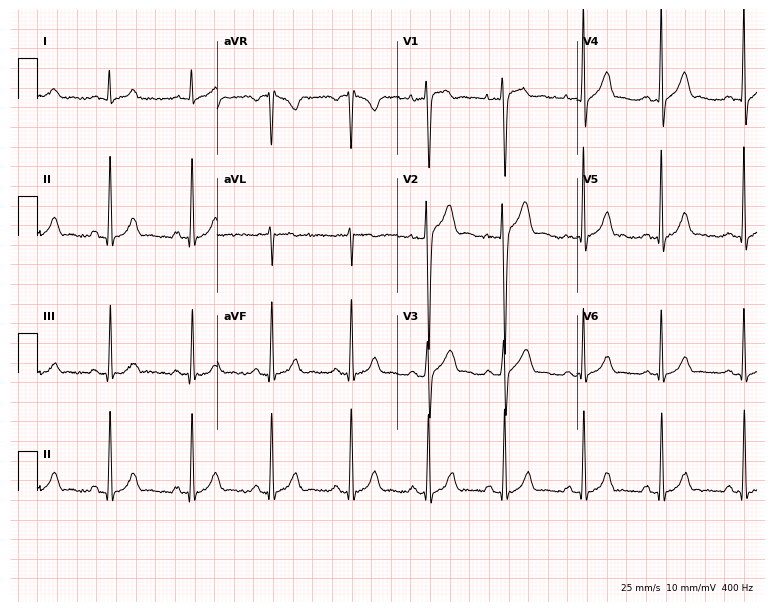
Electrocardiogram, a 22-year-old male. Overall reading on record: normal ECG.